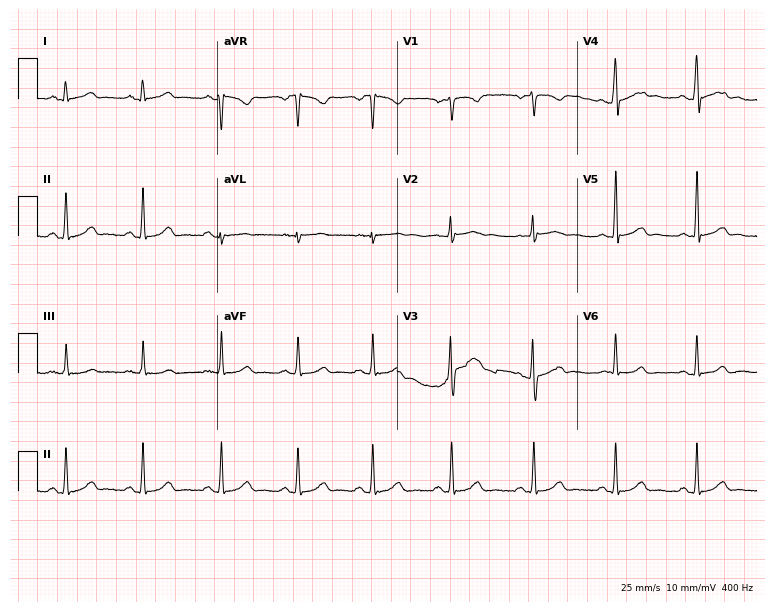
12-lead ECG from a 34-year-old woman (7.3-second recording at 400 Hz). Recorded interpretation: within normal limits.